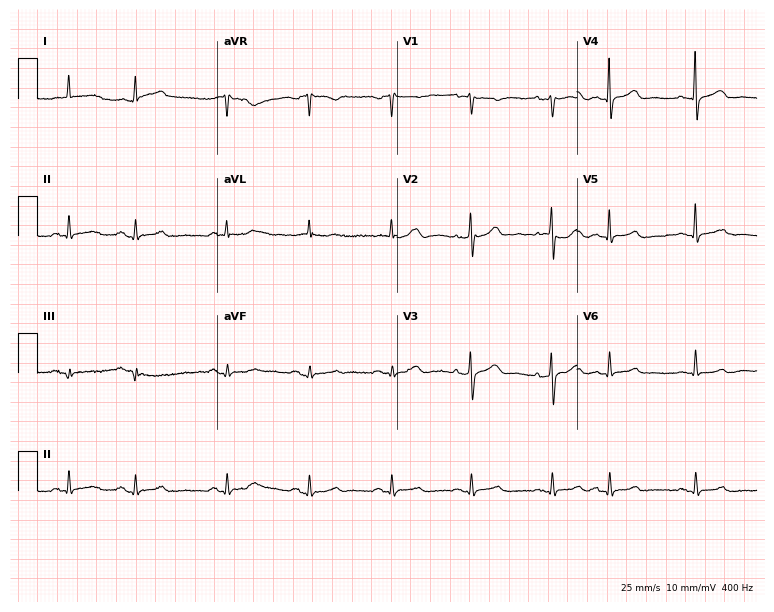
ECG — a female patient, 74 years old. Screened for six findings — first-degree AV block, right bundle branch block (RBBB), left bundle branch block (LBBB), sinus bradycardia, atrial fibrillation (AF), sinus tachycardia — none is recorded. Other findings, if any, are not listed.